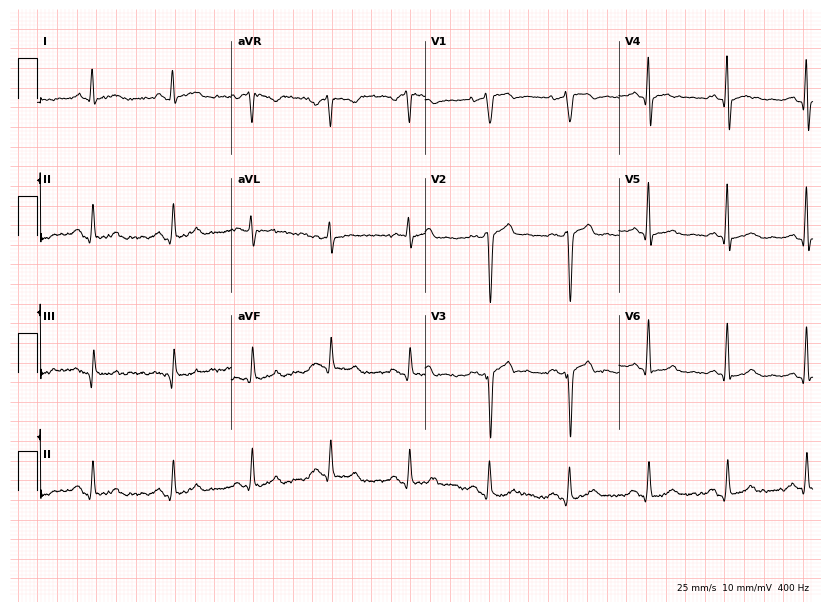
ECG — a man, 74 years old. Labelled as a normal ECG.